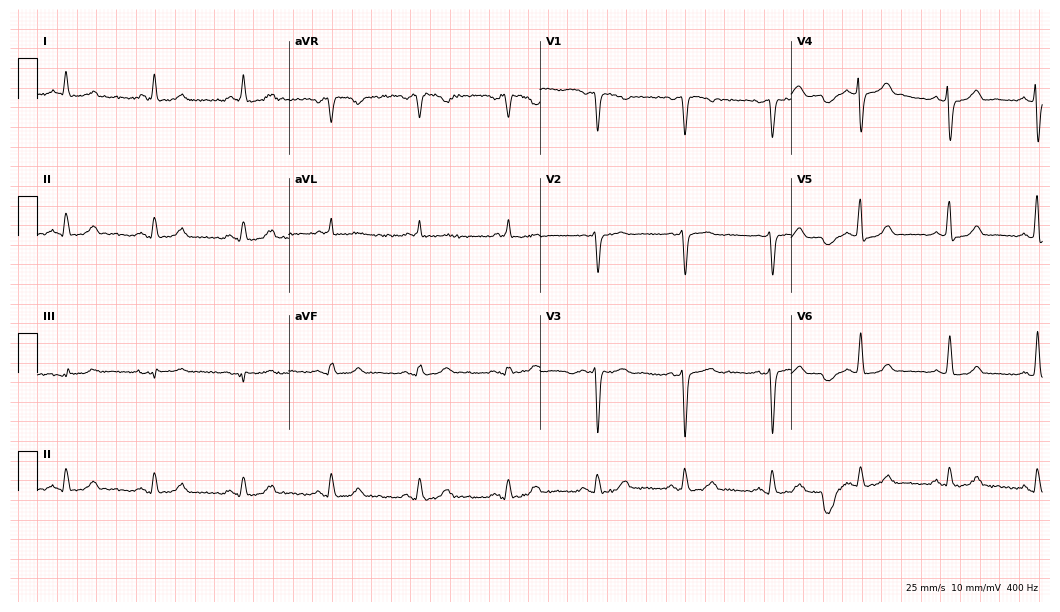
12-lead ECG from a man, 79 years old. Labelled as a normal ECG.